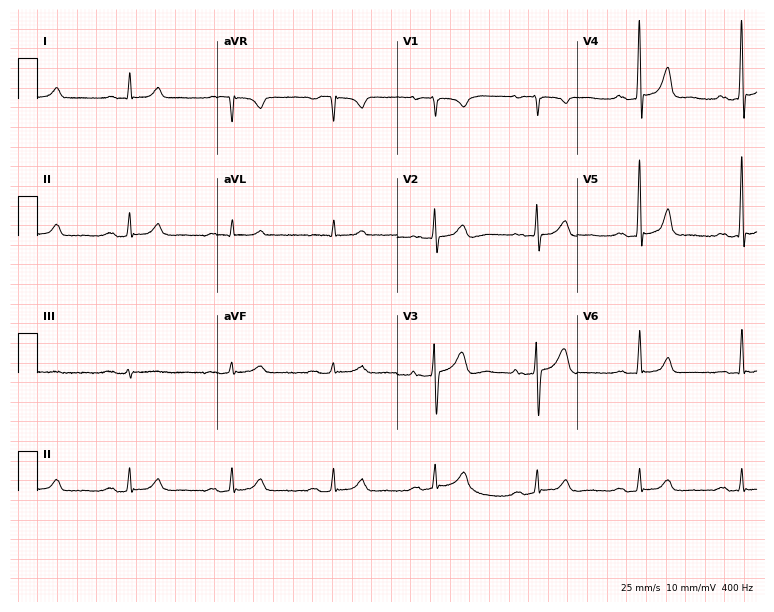
Resting 12-lead electrocardiogram (7.3-second recording at 400 Hz). Patient: an 83-year-old male. The tracing shows first-degree AV block.